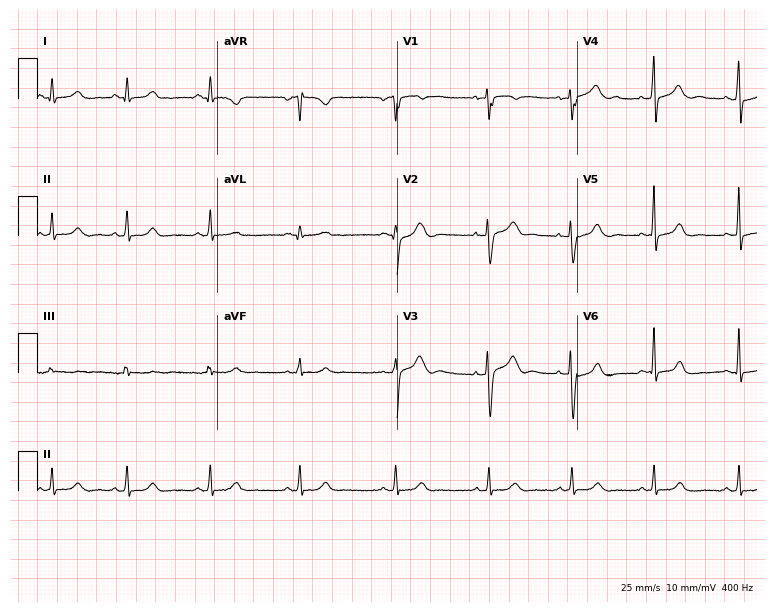
12-lead ECG from a female, 32 years old (7.3-second recording at 400 Hz). Recorded interpretation: within normal limits.